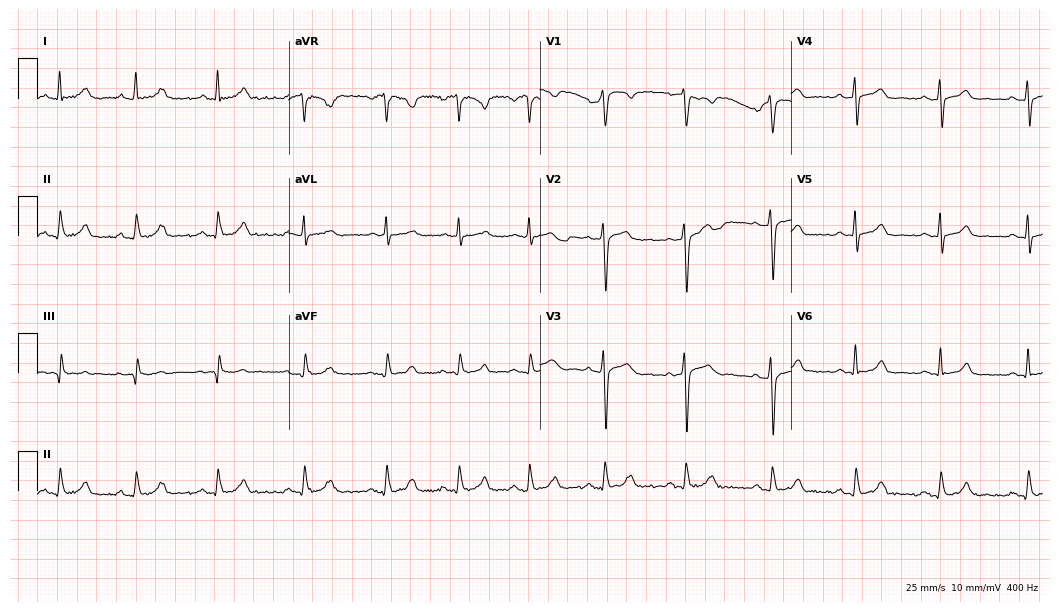
12-lead ECG from a male, 29 years old. Recorded interpretation: within normal limits.